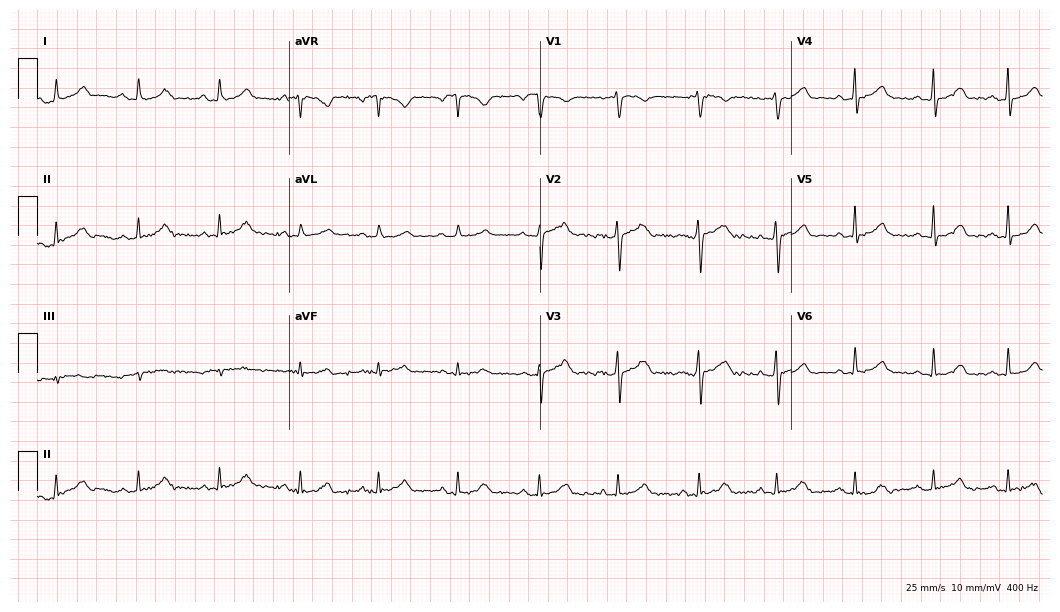
Resting 12-lead electrocardiogram (10.2-second recording at 400 Hz). Patient: a female, 29 years old. Read as a normal ECG.